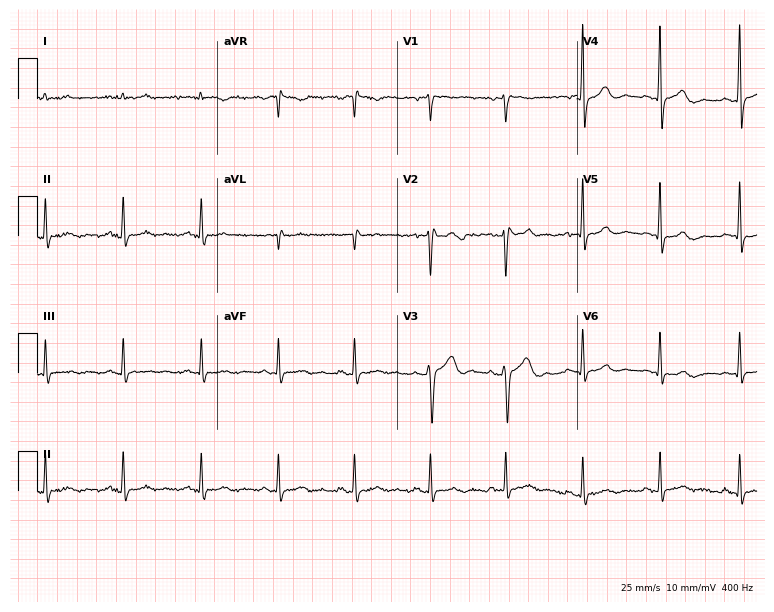
12-lead ECG from a man, 40 years old. No first-degree AV block, right bundle branch block, left bundle branch block, sinus bradycardia, atrial fibrillation or sinus tachycardia recorded for this tracing. Findings outside these six are not listed.